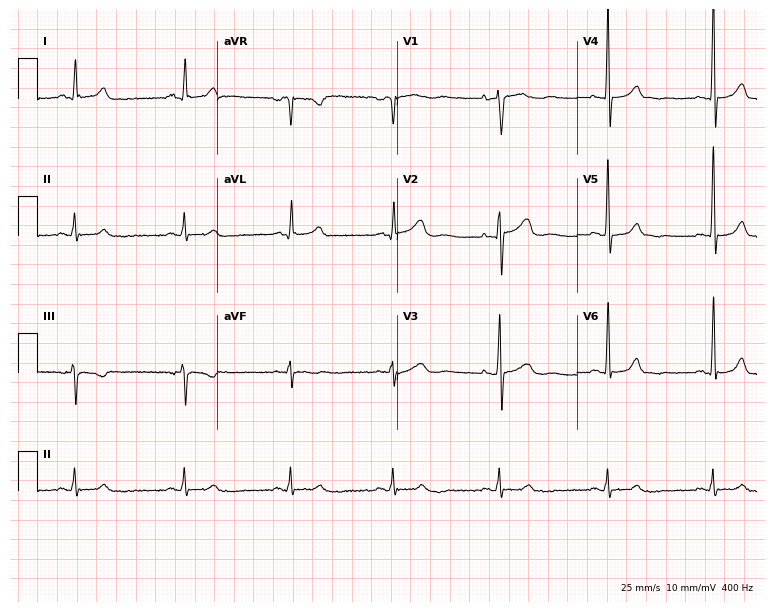
Standard 12-lead ECG recorded from a 65-year-old female patient. Read as a normal ECG.